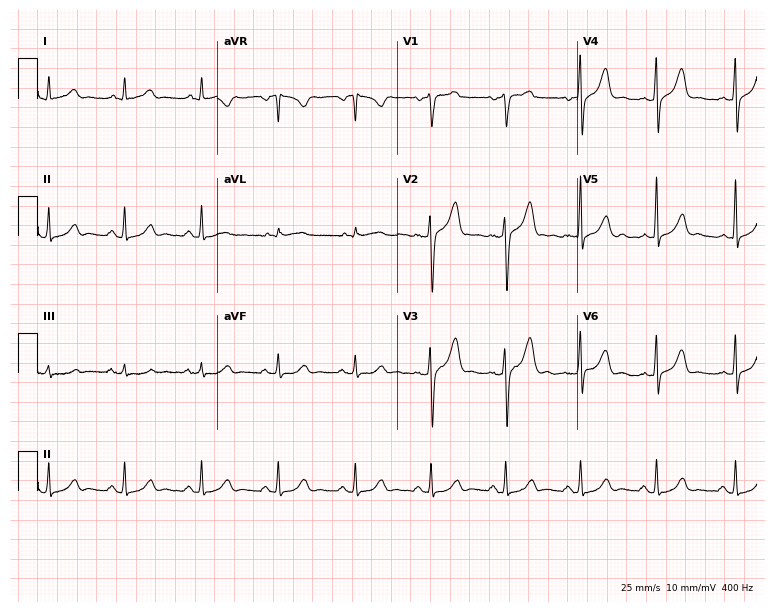
Standard 12-lead ECG recorded from a male, 47 years old (7.3-second recording at 400 Hz). Read as a normal ECG.